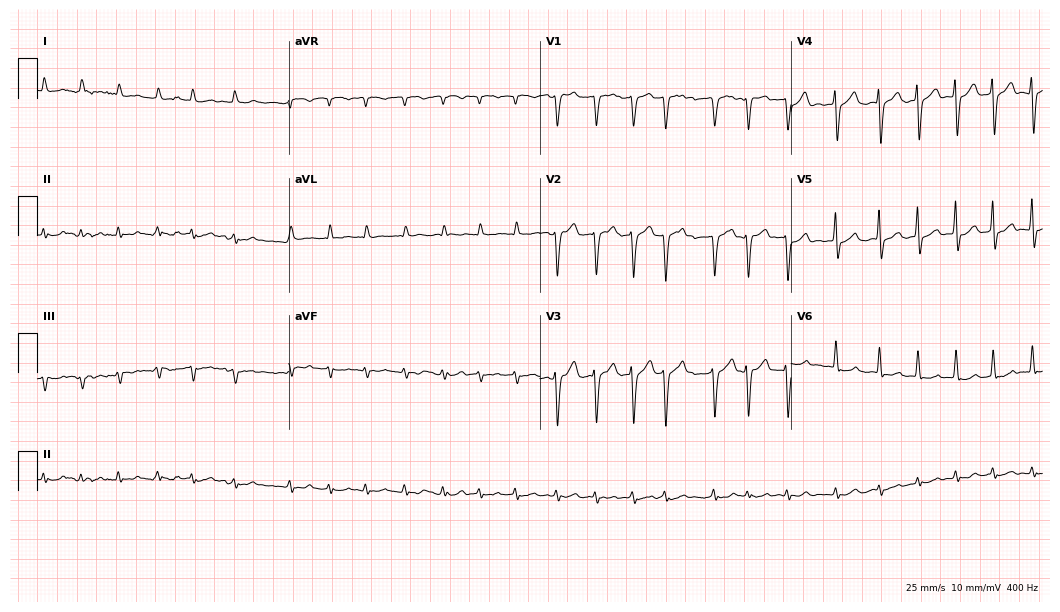
12-lead ECG from a man, 80 years old. Findings include atrial fibrillation (AF).